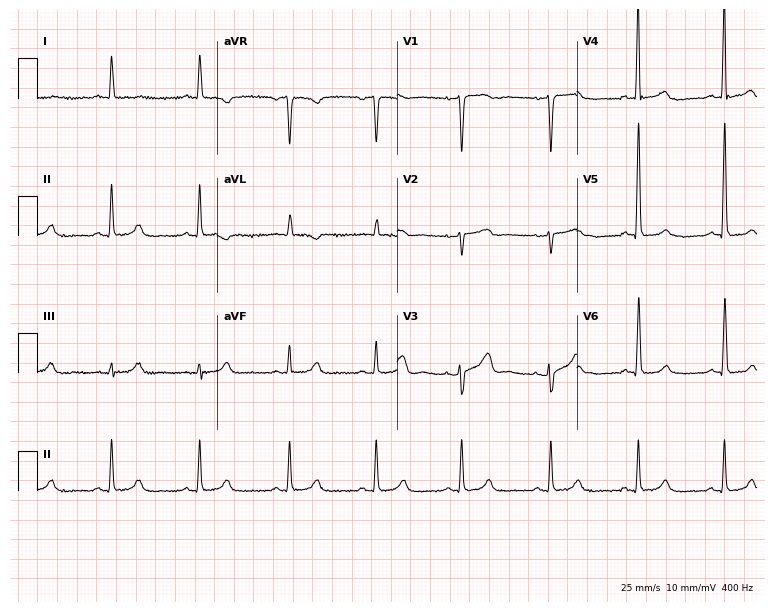
Resting 12-lead electrocardiogram (7.3-second recording at 400 Hz). Patient: an 83-year-old female. None of these six findings is recorded: first-degree AV block, right bundle branch block, left bundle branch block, sinus bradycardia, atrial fibrillation, sinus tachycardia.